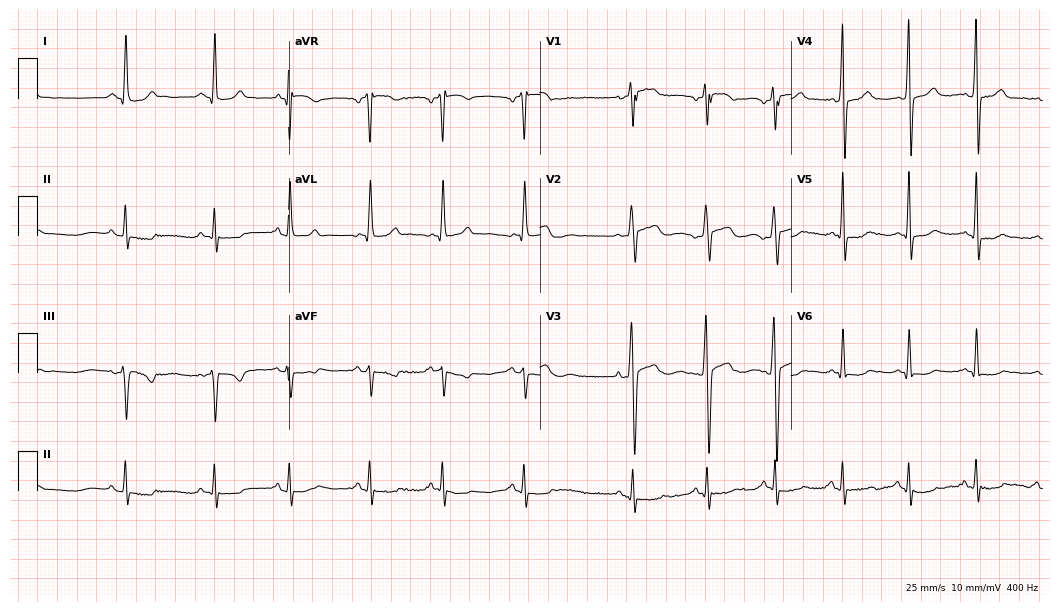
12-lead ECG from a man, 32 years old. Labelled as a normal ECG.